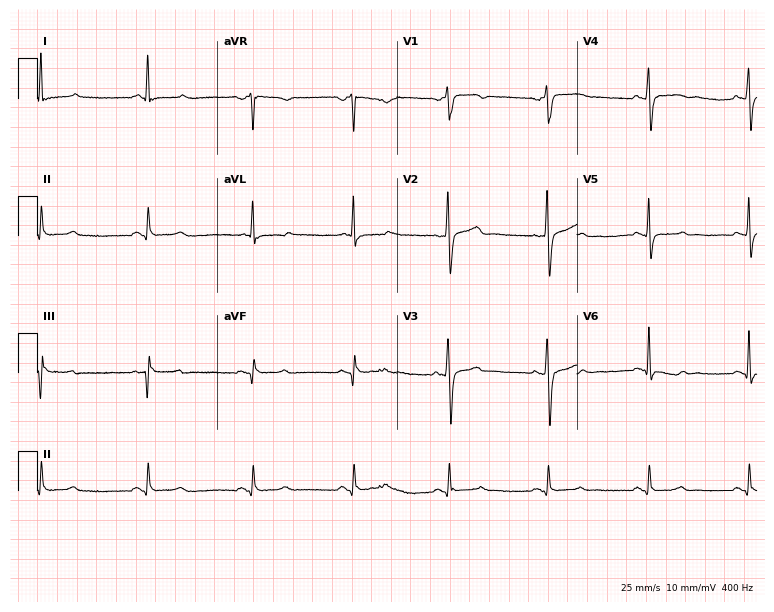
12-lead ECG from a 57-year-old man. Screened for six findings — first-degree AV block, right bundle branch block (RBBB), left bundle branch block (LBBB), sinus bradycardia, atrial fibrillation (AF), sinus tachycardia — none is recorded. Findings outside these six are not listed.